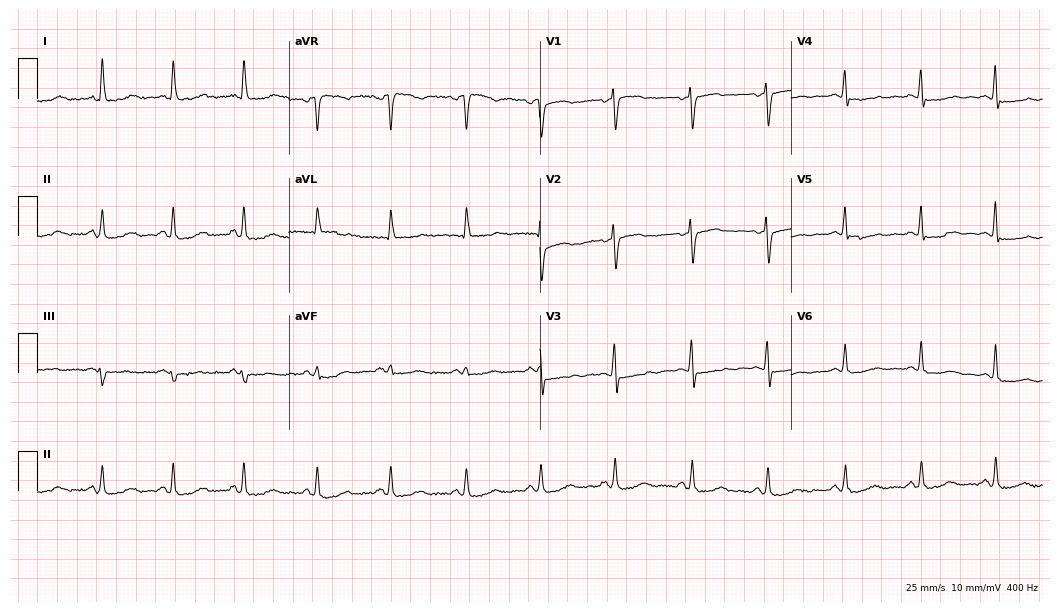
Electrocardiogram, a female patient, 63 years old. Overall reading on record: normal ECG.